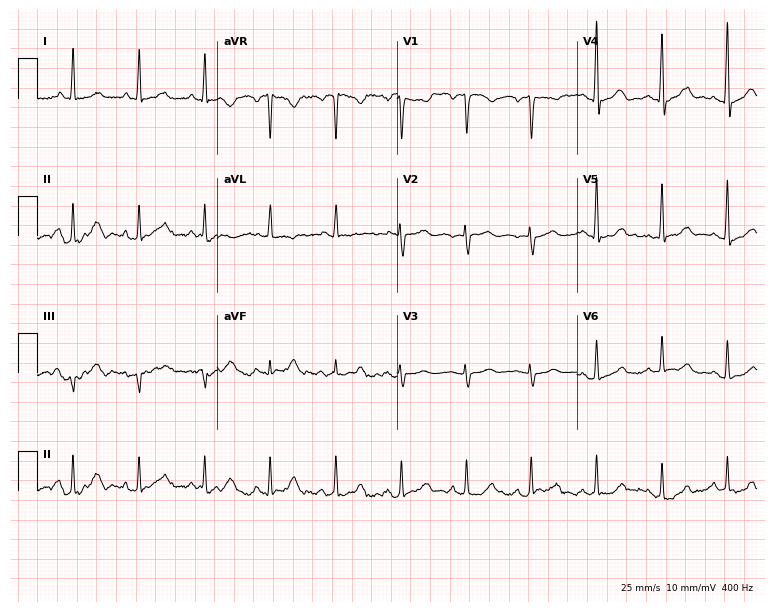
Standard 12-lead ECG recorded from a woman, 41 years old (7.3-second recording at 400 Hz). Read as a normal ECG.